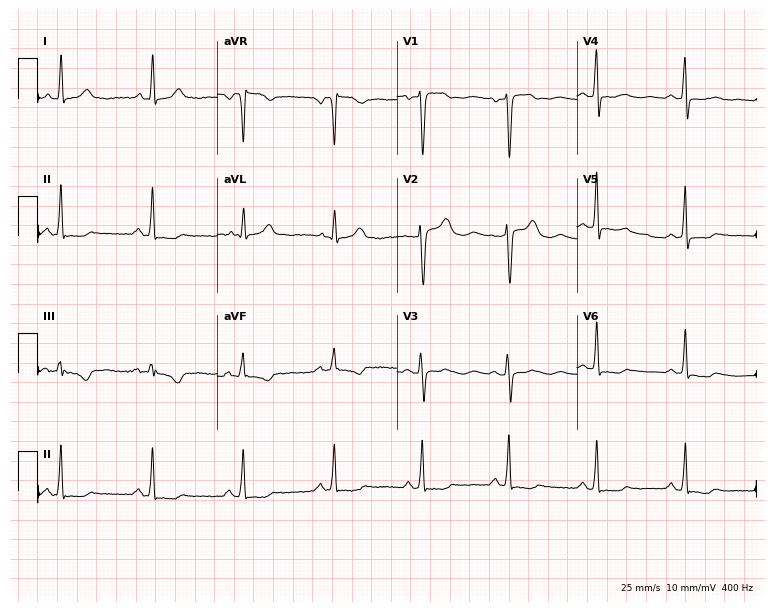
ECG — a female, 47 years old. Screened for six findings — first-degree AV block, right bundle branch block (RBBB), left bundle branch block (LBBB), sinus bradycardia, atrial fibrillation (AF), sinus tachycardia — none is recorded.